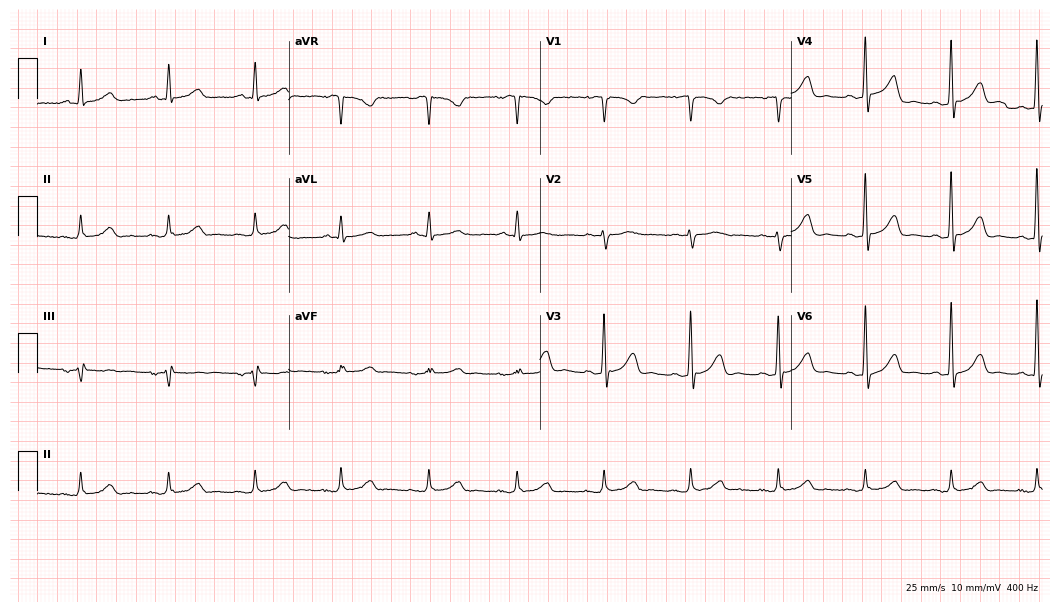
Standard 12-lead ECG recorded from a 59-year-old female. None of these six findings is recorded: first-degree AV block, right bundle branch block (RBBB), left bundle branch block (LBBB), sinus bradycardia, atrial fibrillation (AF), sinus tachycardia. Only these six findings were labelled.